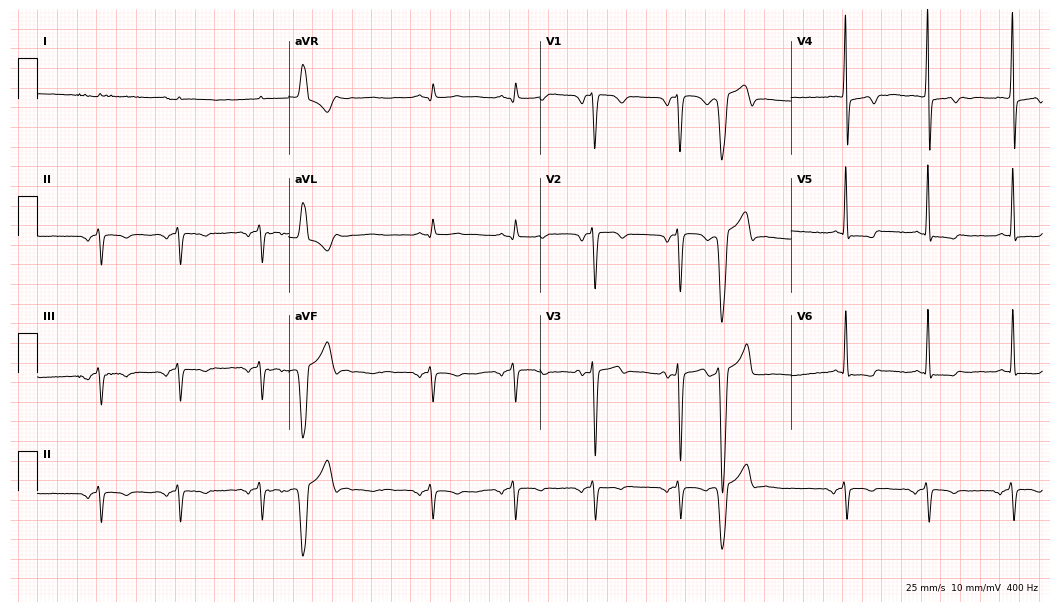
12-lead ECG from a 58-year-old woman. No first-degree AV block, right bundle branch block, left bundle branch block, sinus bradycardia, atrial fibrillation or sinus tachycardia recorded for this tracing.